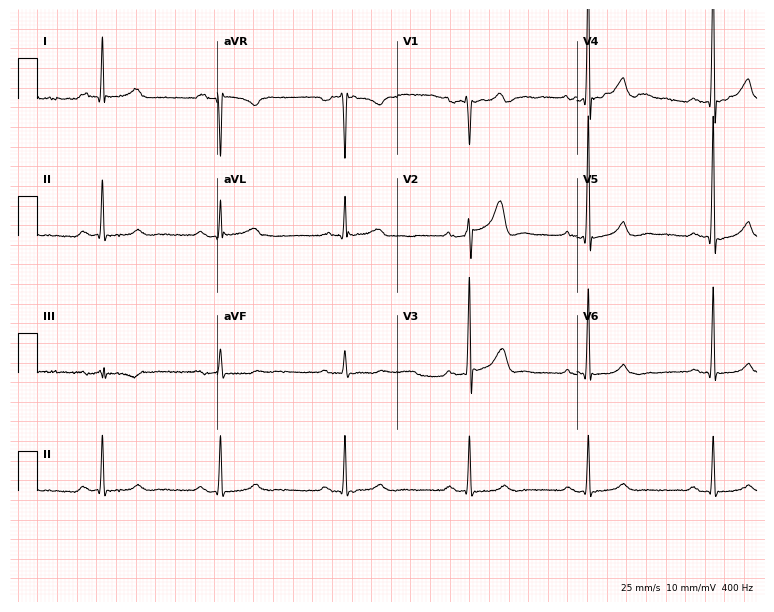
Resting 12-lead electrocardiogram (7.3-second recording at 400 Hz). Patient: a male, 64 years old. Read as a normal ECG.